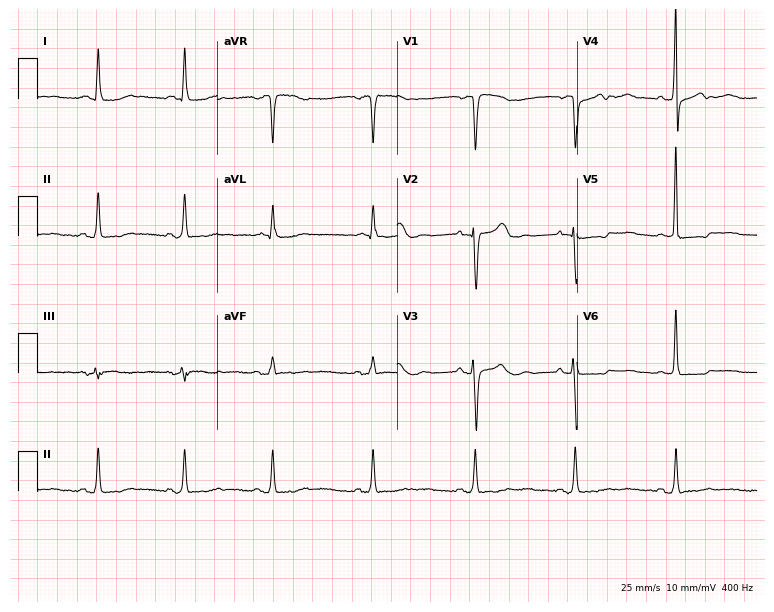
ECG (7.3-second recording at 400 Hz) — a woman, 57 years old. Screened for six findings — first-degree AV block, right bundle branch block (RBBB), left bundle branch block (LBBB), sinus bradycardia, atrial fibrillation (AF), sinus tachycardia — none is recorded.